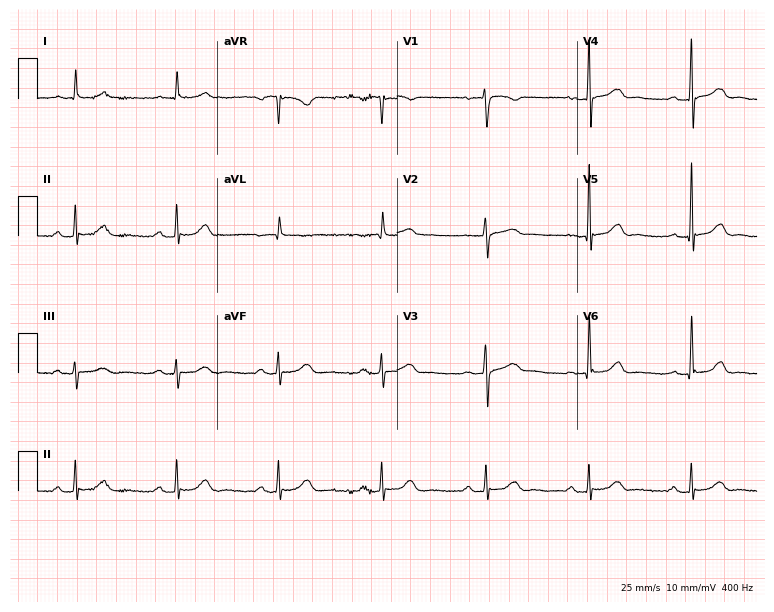
Standard 12-lead ECG recorded from a 64-year-old female (7.3-second recording at 400 Hz). Read as a normal ECG.